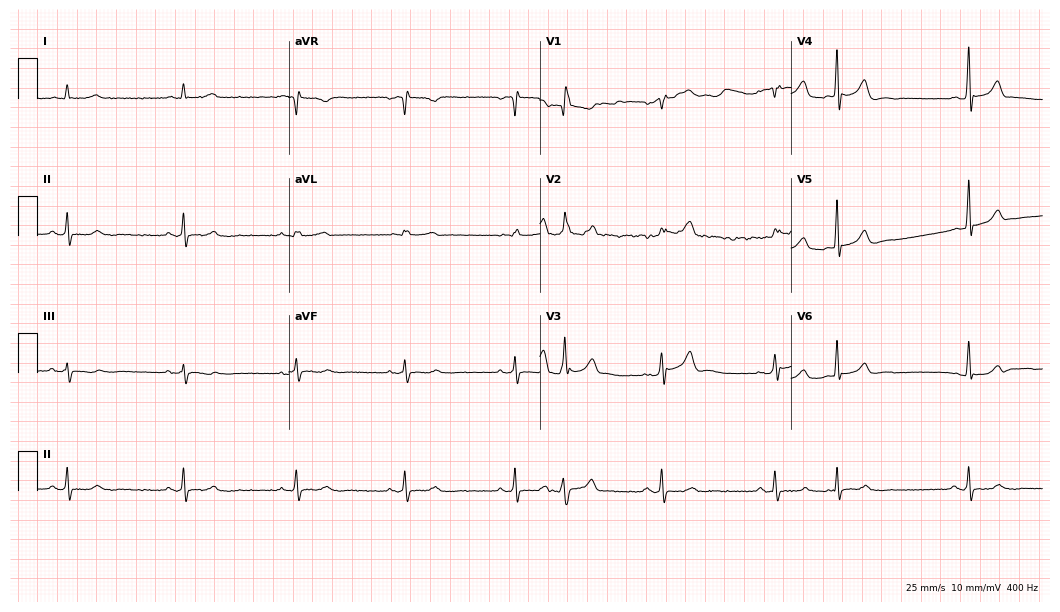
12-lead ECG (10.2-second recording at 400 Hz) from a male, 71 years old. Screened for six findings — first-degree AV block, right bundle branch block, left bundle branch block, sinus bradycardia, atrial fibrillation, sinus tachycardia — none is recorded. Other findings, if any, are not listed.